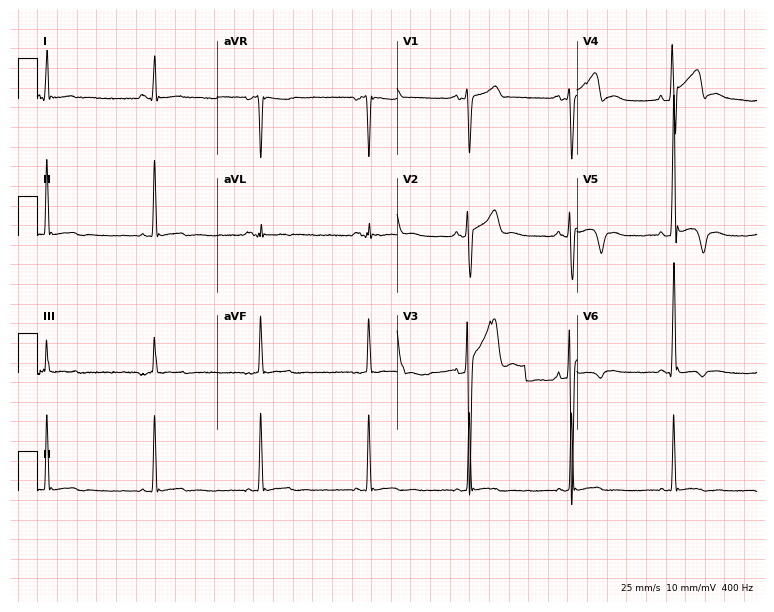
Electrocardiogram, a 19-year-old man. Of the six screened findings (first-degree AV block, right bundle branch block, left bundle branch block, sinus bradycardia, atrial fibrillation, sinus tachycardia), none is recorded.